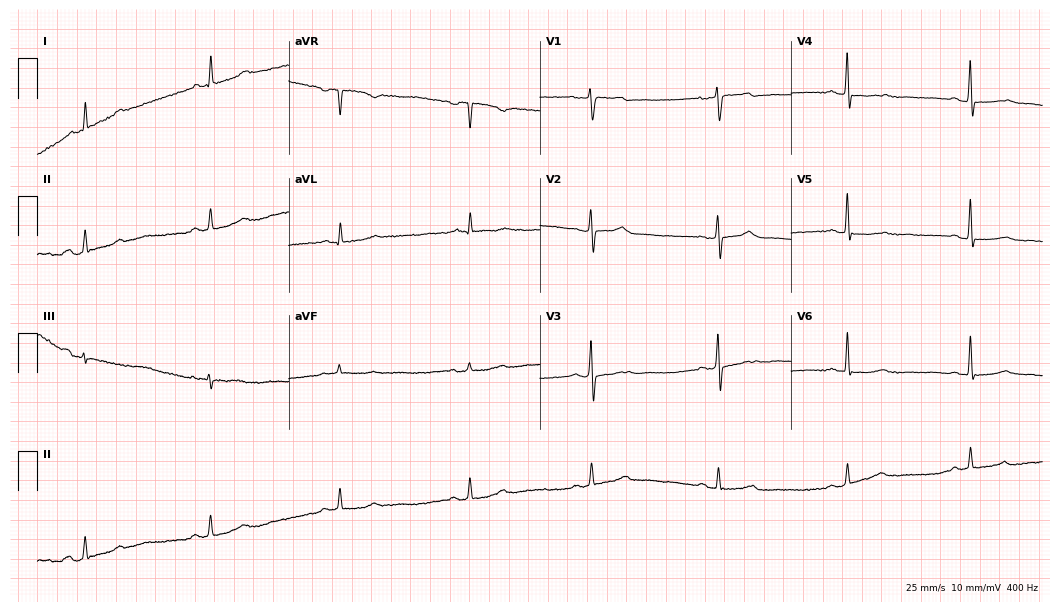
Electrocardiogram (10.2-second recording at 400 Hz), a 52-year-old woman. Interpretation includes sinus bradycardia (a sinus rate of 50 beats per minute or less).